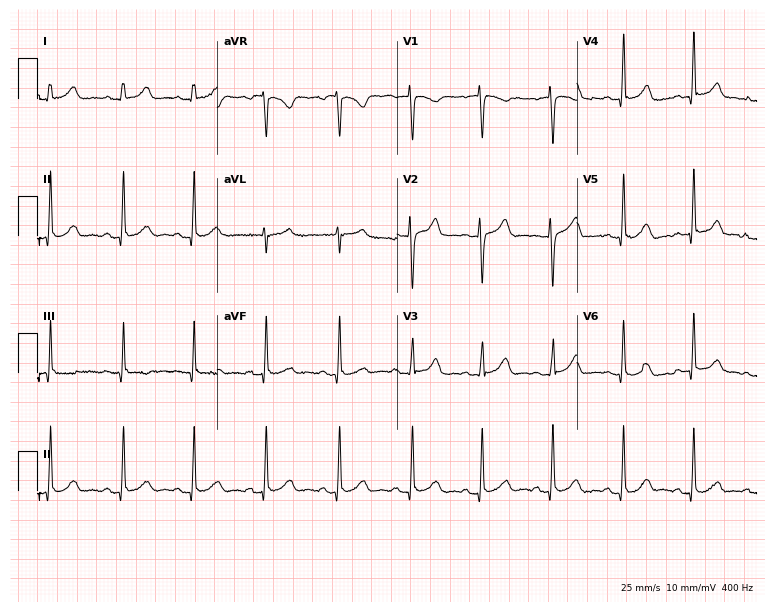
Electrocardiogram, a 26-year-old female. Overall reading on record: normal ECG.